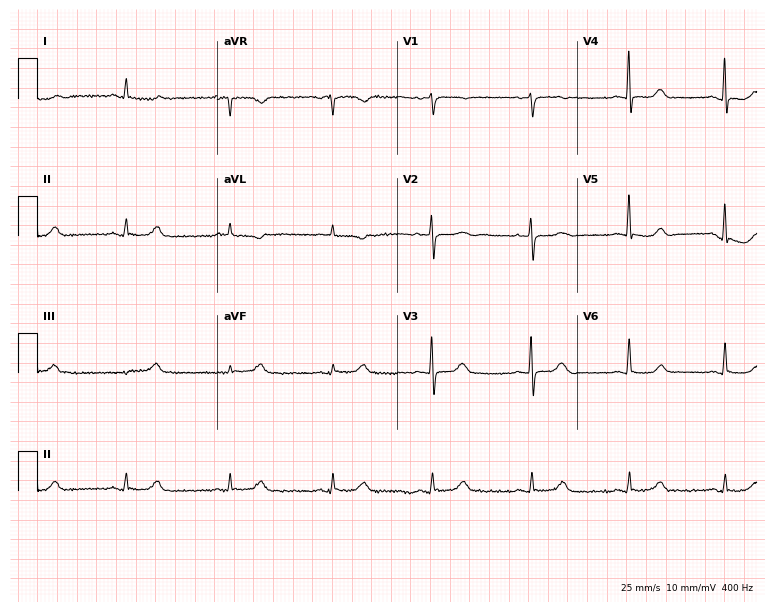
ECG (7.3-second recording at 400 Hz) — a woman, 31 years old. Screened for six findings — first-degree AV block, right bundle branch block (RBBB), left bundle branch block (LBBB), sinus bradycardia, atrial fibrillation (AF), sinus tachycardia — none is recorded.